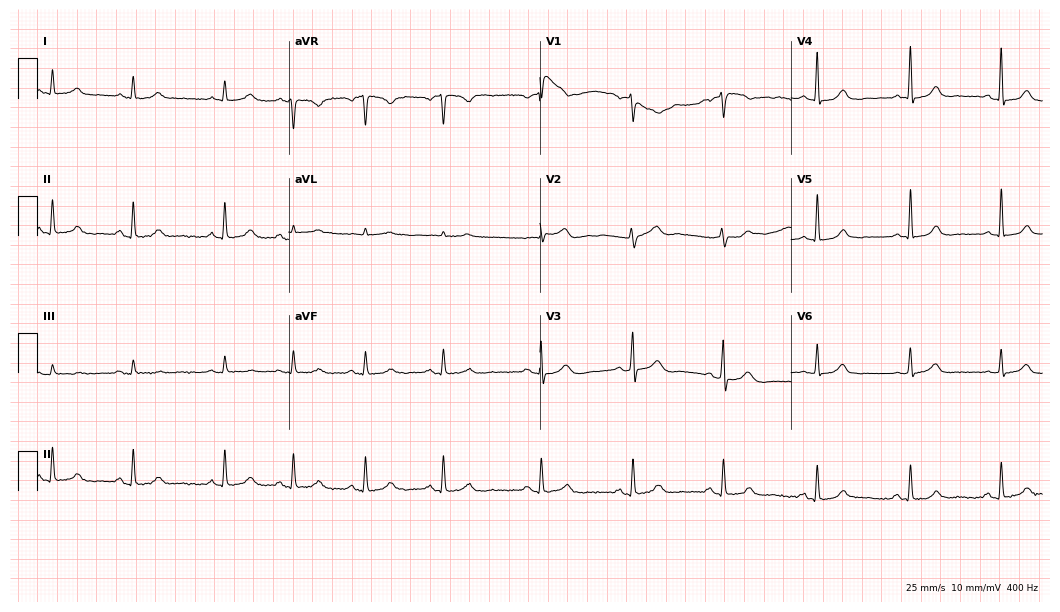
12-lead ECG from a woman, 62 years old. Recorded interpretation: within normal limits.